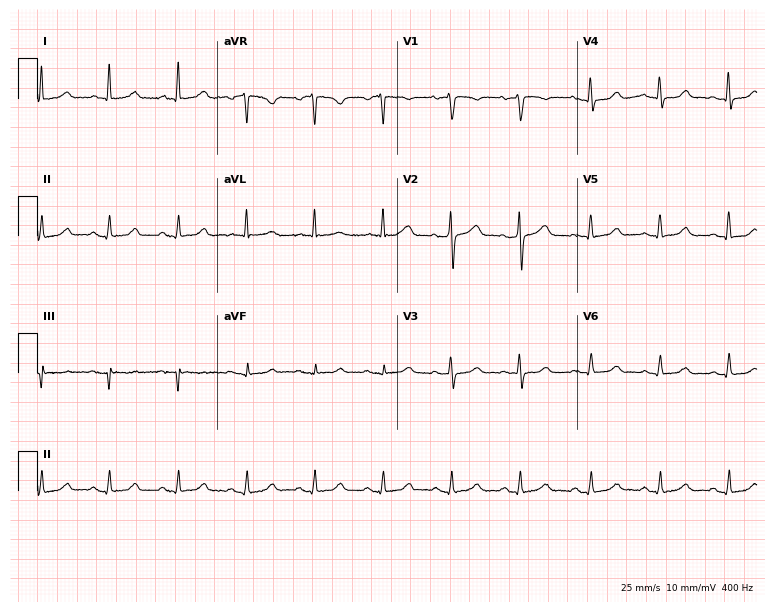
ECG (7.3-second recording at 400 Hz) — a female, 55 years old. Labelled as a normal ECG.